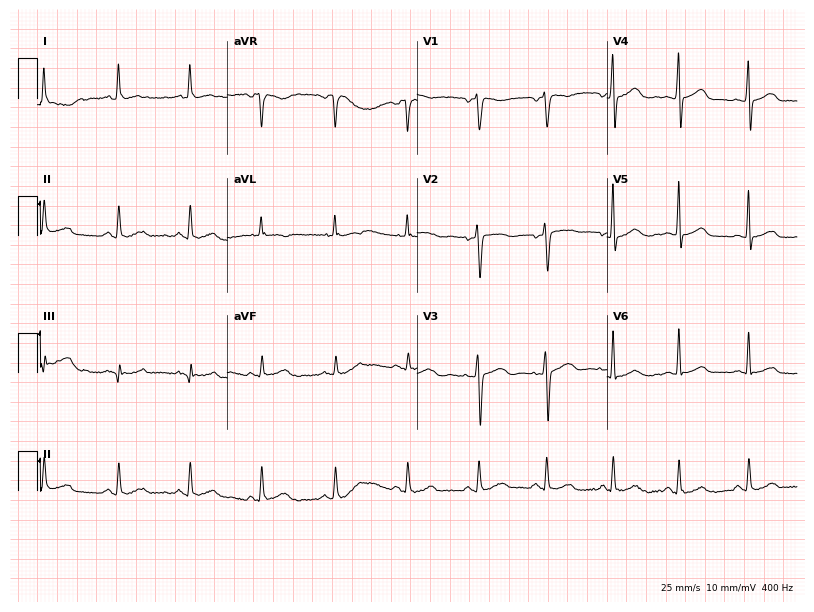
Standard 12-lead ECG recorded from a 39-year-old female patient (7.7-second recording at 400 Hz). Read as a normal ECG.